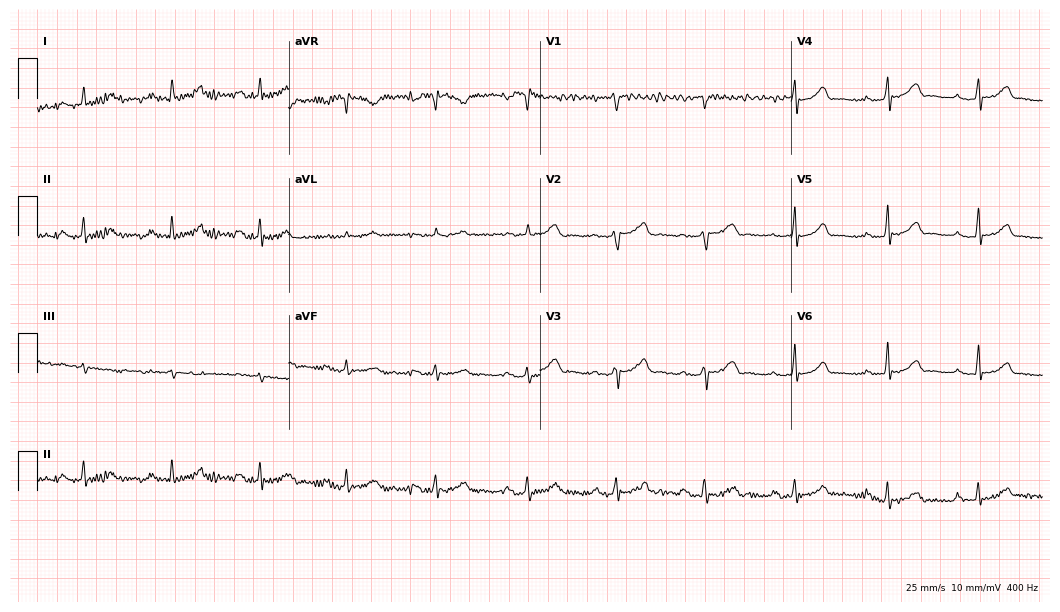
Electrocardiogram (10.2-second recording at 400 Hz), a female patient, 43 years old. Of the six screened findings (first-degree AV block, right bundle branch block, left bundle branch block, sinus bradycardia, atrial fibrillation, sinus tachycardia), none is recorded.